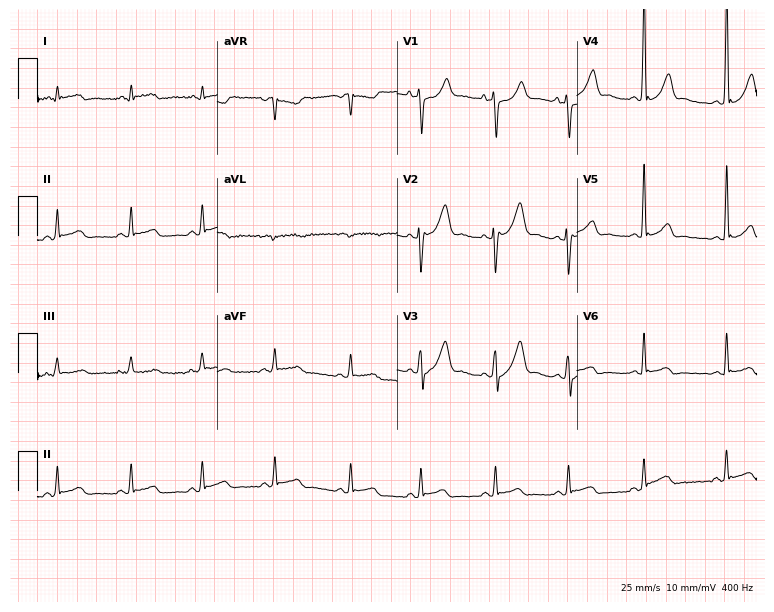
12-lead ECG from an 18-year-old male. Screened for six findings — first-degree AV block, right bundle branch block, left bundle branch block, sinus bradycardia, atrial fibrillation, sinus tachycardia — none is recorded.